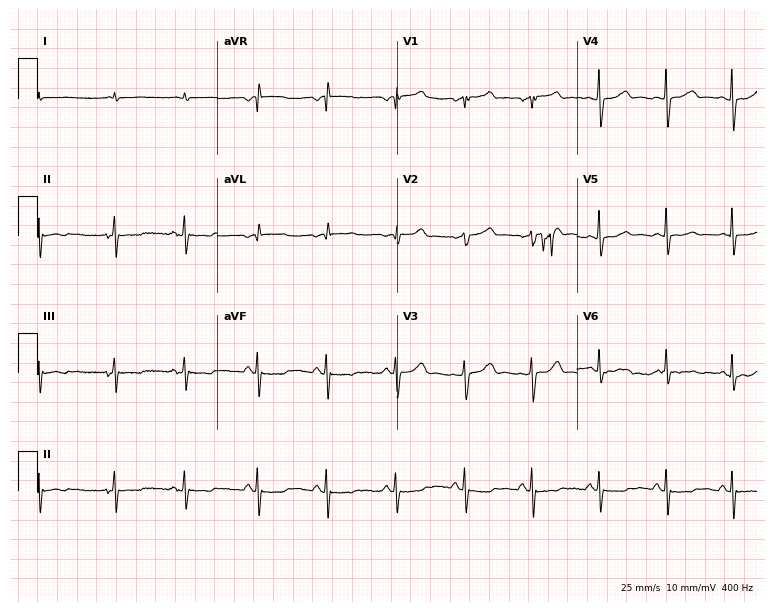
12-lead ECG (7.3-second recording at 400 Hz) from a male, 82 years old. Screened for six findings — first-degree AV block, right bundle branch block, left bundle branch block, sinus bradycardia, atrial fibrillation, sinus tachycardia — none is recorded. Only these six findings were labelled.